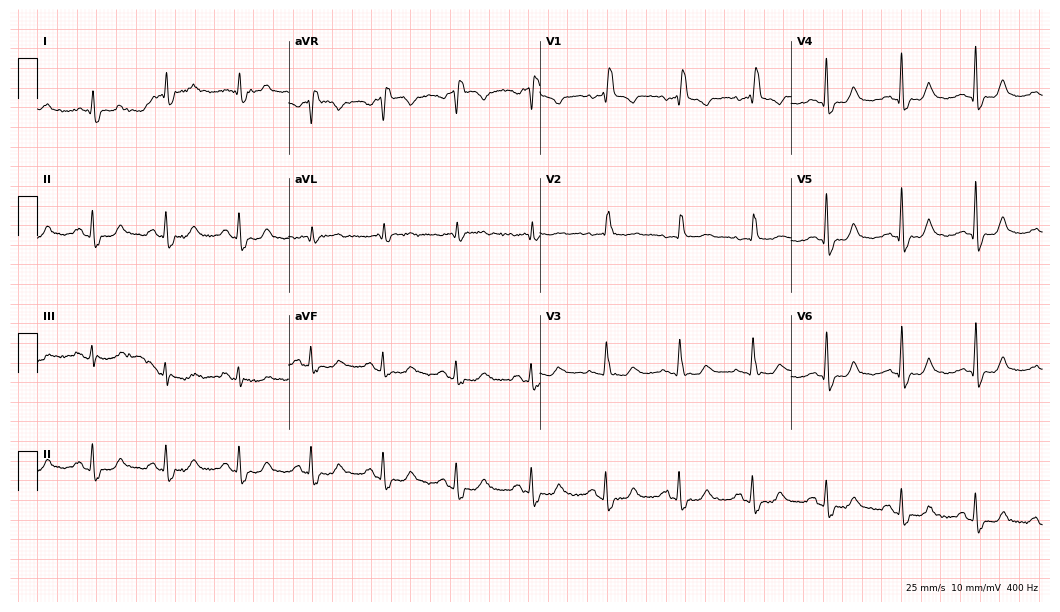
Electrocardiogram (10.2-second recording at 400 Hz), an 83-year-old female. Interpretation includes right bundle branch block.